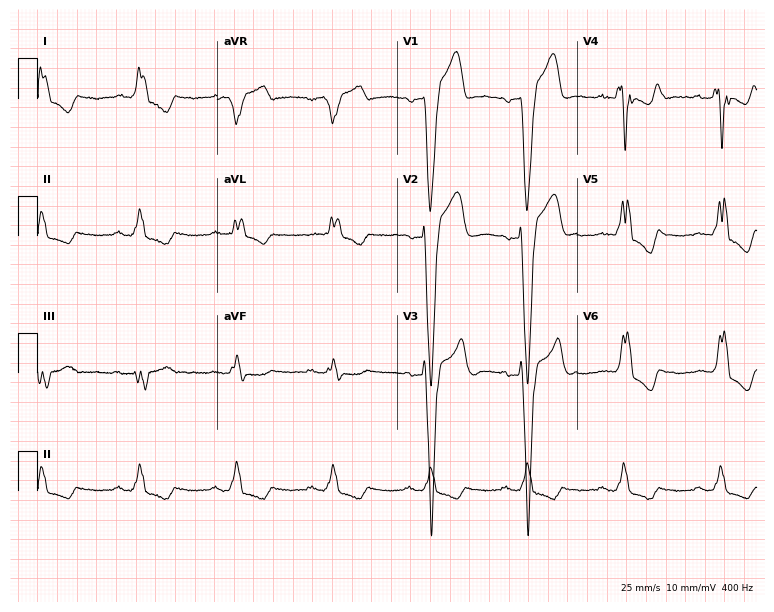
12-lead ECG from a man, 76 years old. Shows left bundle branch block.